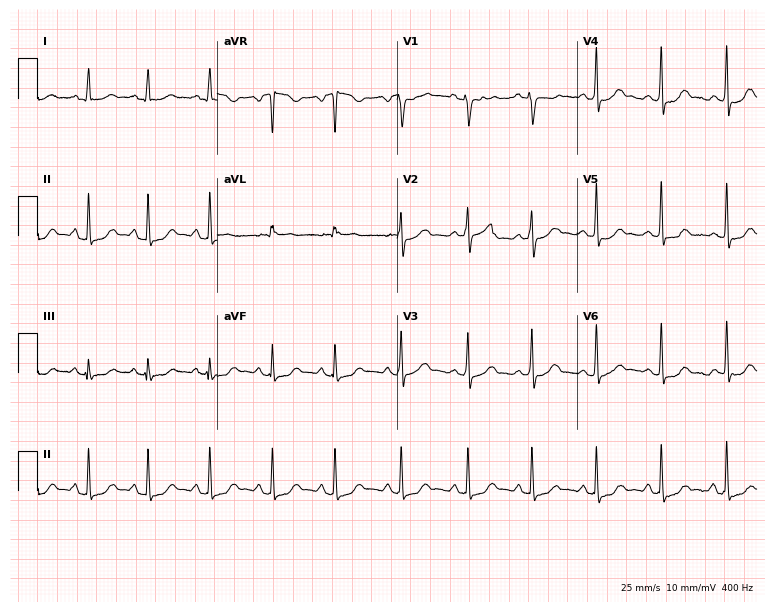
12-lead ECG from a 20-year-old female patient. No first-degree AV block, right bundle branch block (RBBB), left bundle branch block (LBBB), sinus bradycardia, atrial fibrillation (AF) or sinus tachycardia recorded for this tracing.